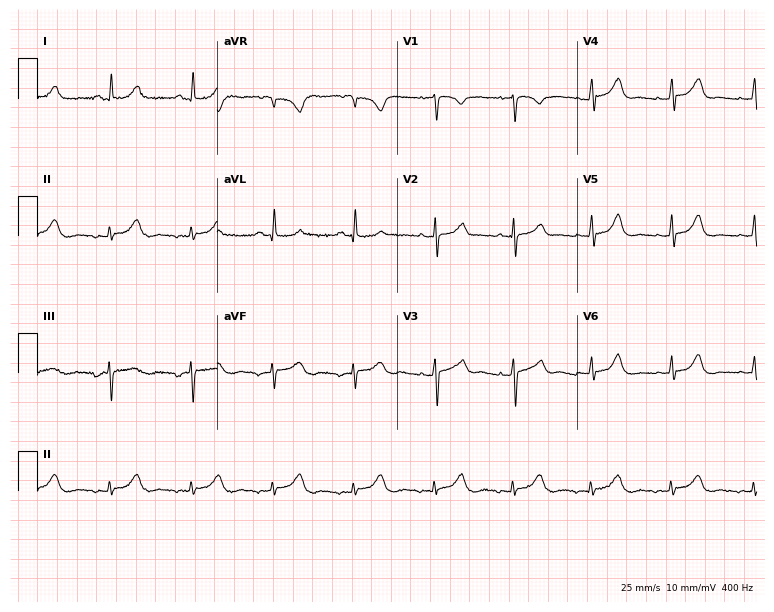
12-lead ECG from a female, 39 years old (7.3-second recording at 400 Hz). No first-degree AV block, right bundle branch block (RBBB), left bundle branch block (LBBB), sinus bradycardia, atrial fibrillation (AF) or sinus tachycardia recorded for this tracing.